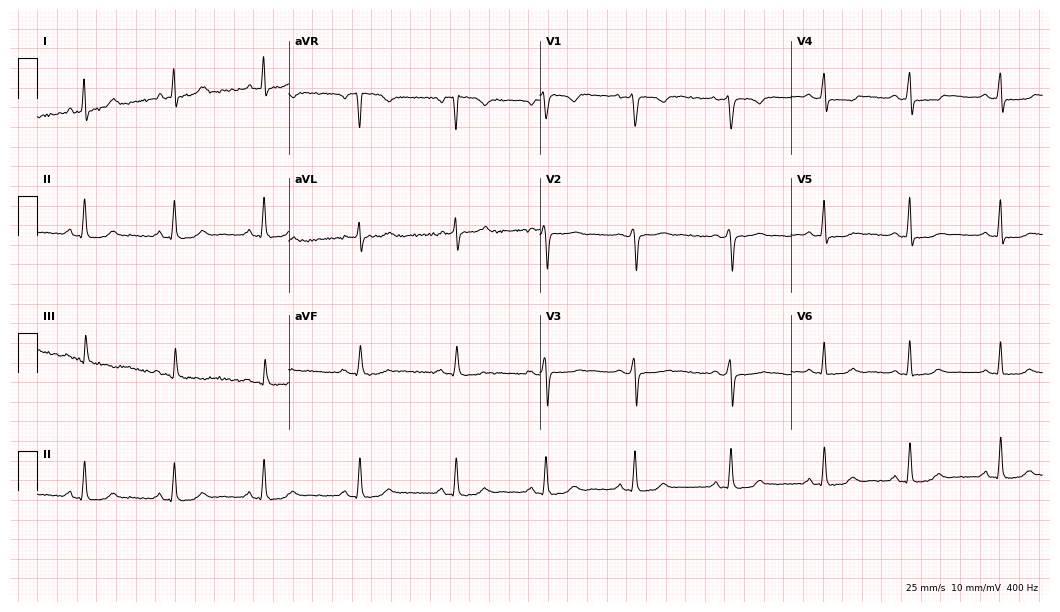
Standard 12-lead ECG recorded from a 42-year-old woman (10.2-second recording at 400 Hz). None of these six findings is recorded: first-degree AV block, right bundle branch block, left bundle branch block, sinus bradycardia, atrial fibrillation, sinus tachycardia. Other findings, if any, are not listed.